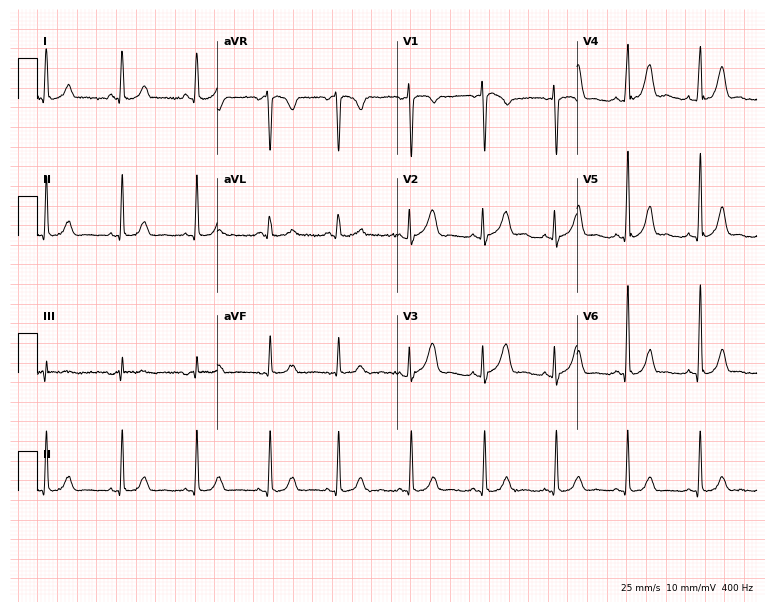
Standard 12-lead ECG recorded from a 36-year-old female patient. None of these six findings is recorded: first-degree AV block, right bundle branch block (RBBB), left bundle branch block (LBBB), sinus bradycardia, atrial fibrillation (AF), sinus tachycardia.